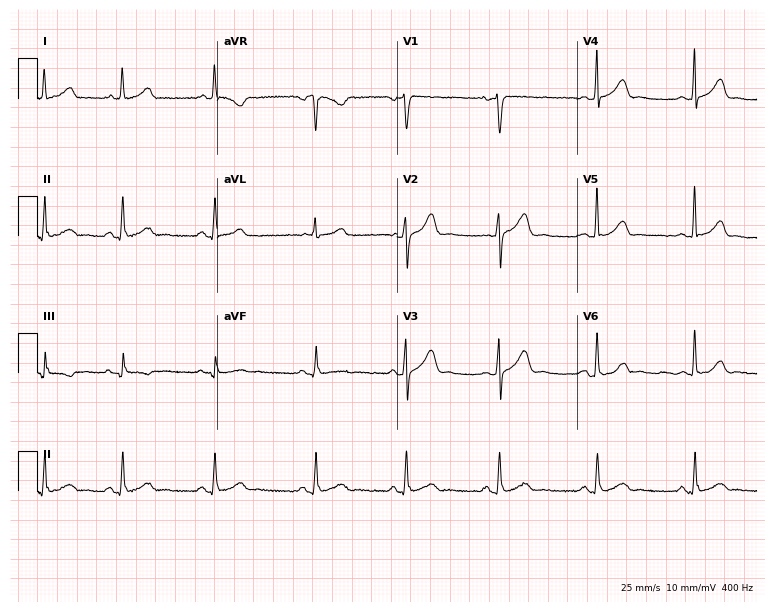
Resting 12-lead electrocardiogram (7.3-second recording at 400 Hz). Patient: a female, 34 years old. Read as a normal ECG.